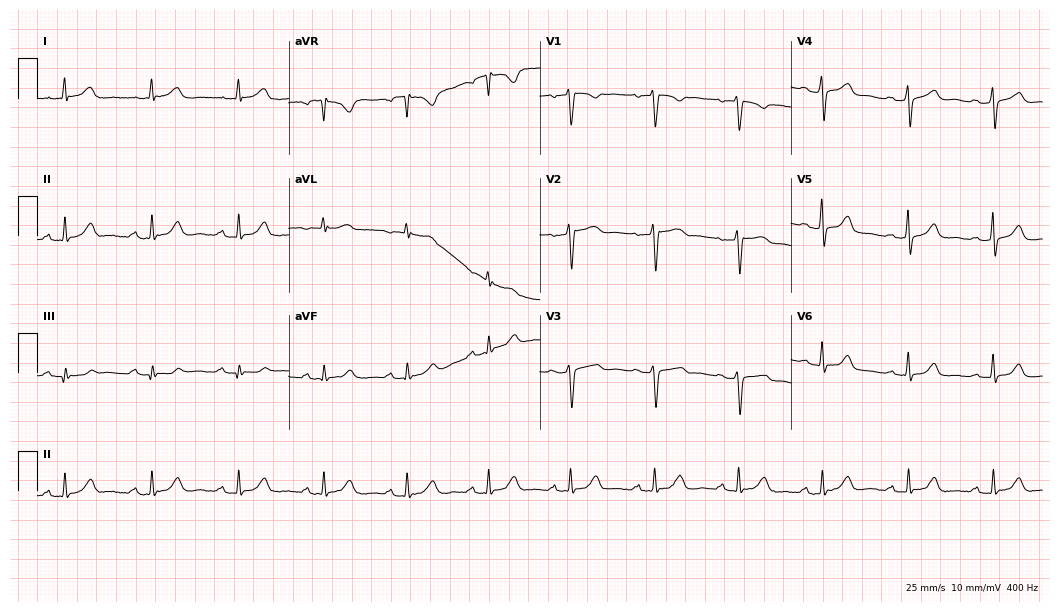
Standard 12-lead ECG recorded from a female patient, 47 years old. Read as a normal ECG.